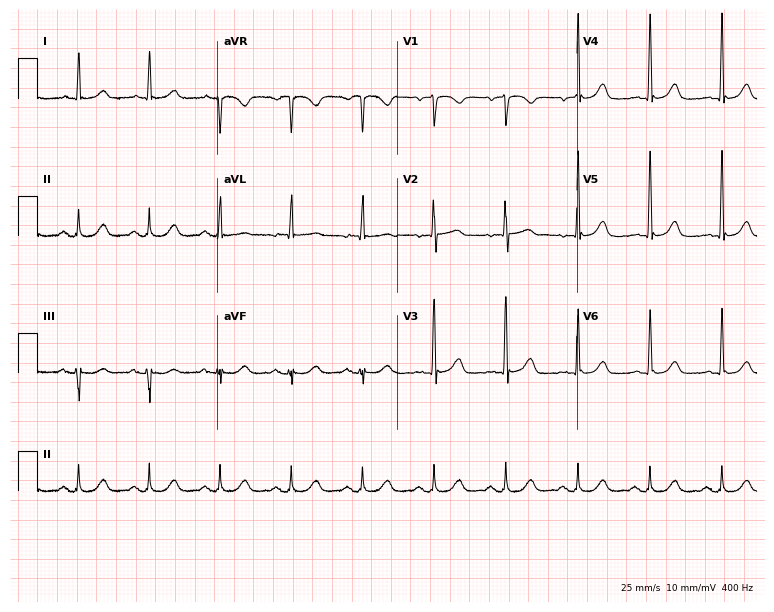
Electrocardiogram (7.3-second recording at 400 Hz), a woman, 75 years old. Overall reading on record: normal ECG.